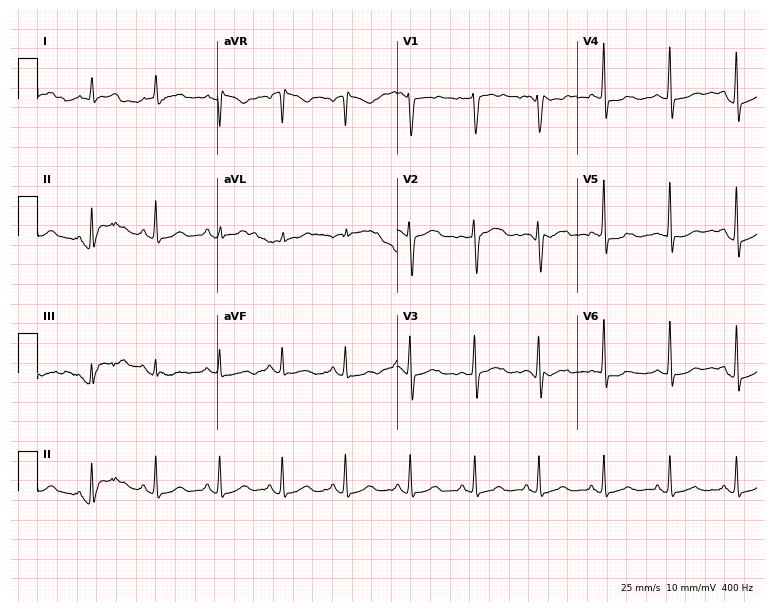
Resting 12-lead electrocardiogram. Patient: a 36-year-old female. None of these six findings is recorded: first-degree AV block, right bundle branch block (RBBB), left bundle branch block (LBBB), sinus bradycardia, atrial fibrillation (AF), sinus tachycardia.